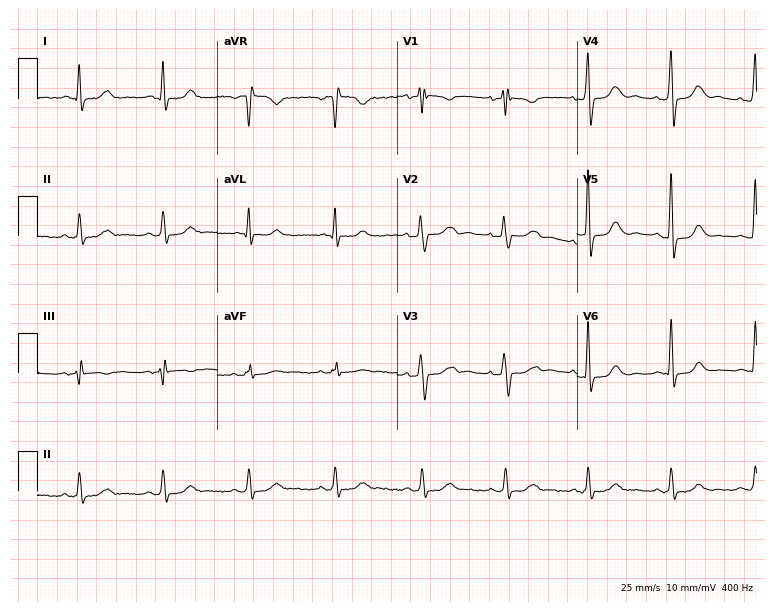
ECG (7.3-second recording at 400 Hz) — a 60-year-old woman. Screened for six findings — first-degree AV block, right bundle branch block, left bundle branch block, sinus bradycardia, atrial fibrillation, sinus tachycardia — none is recorded.